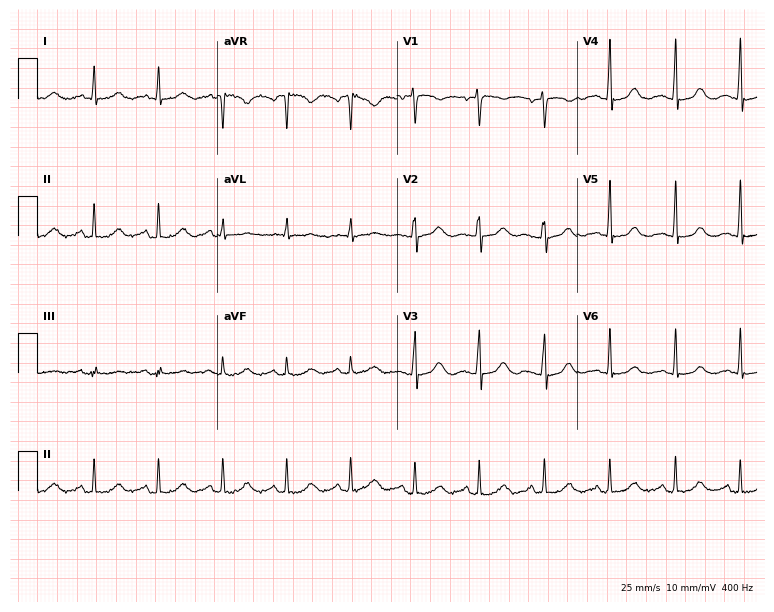
12-lead ECG (7.3-second recording at 400 Hz) from a female patient, 54 years old. Screened for six findings — first-degree AV block, right bundle branch block, left bundle branch block, sinus bradycardia, atrial fibrillation, sinus tachycardia — none is recorded. Only these six findings were labelled.